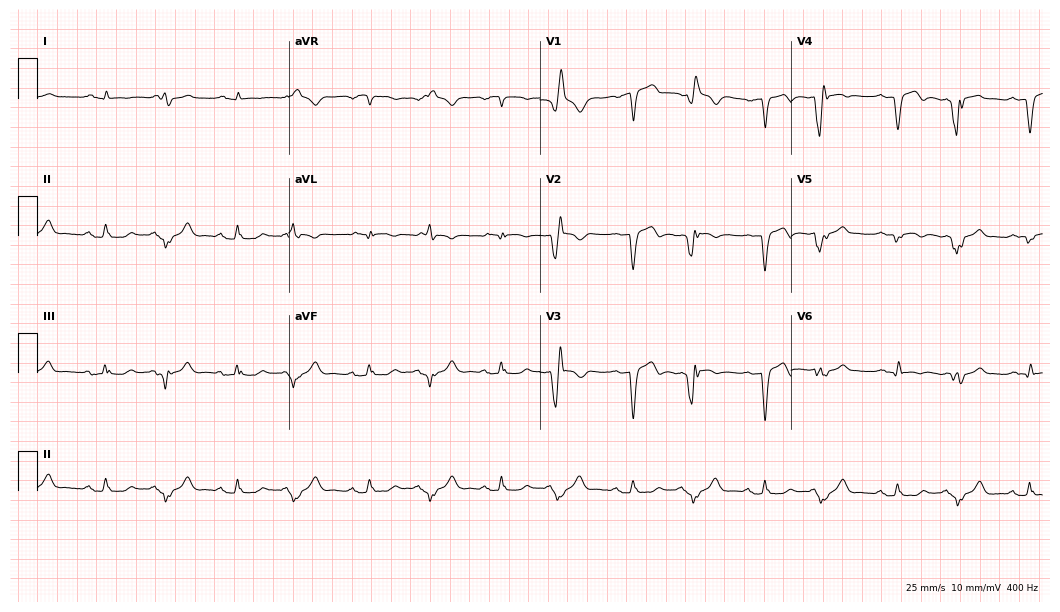
Resting 12-lead electrocardiogram (10.2-second recording at 400 Hz). Patient: a male, 67 years old. None of these six findings is recorded: first-degree AV block, right bundle branch block (RBBB), left bundle branch block (LBBB), sinus bradycardia, atrial fibrillation (AF), sinus tachycardia. Findings outside these six are not listed.